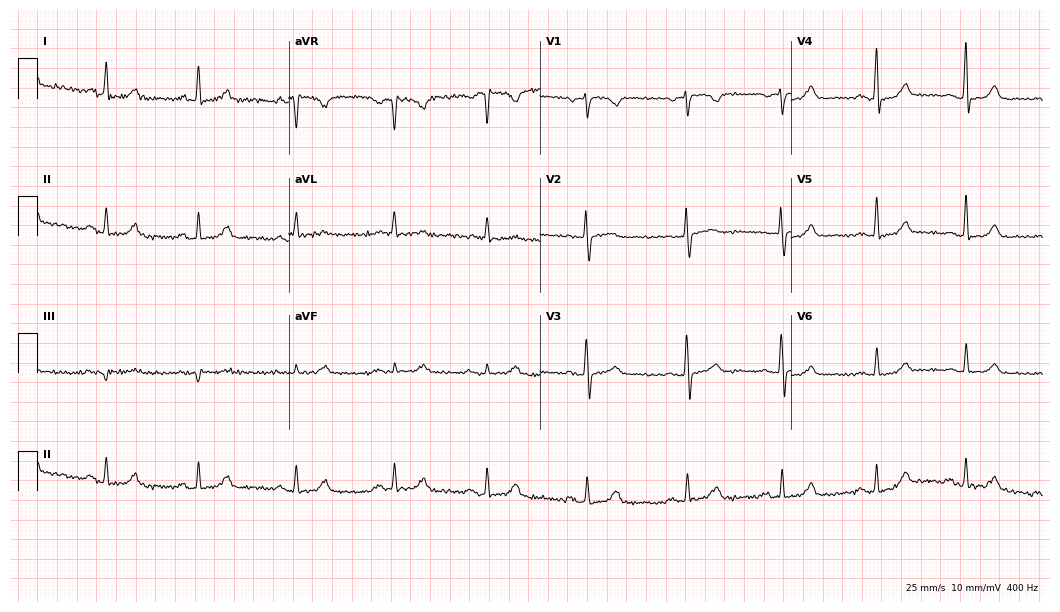
Resting 12-lead electrocardiogram. Patient: a 56-year-old female. Read as a normal ECG.